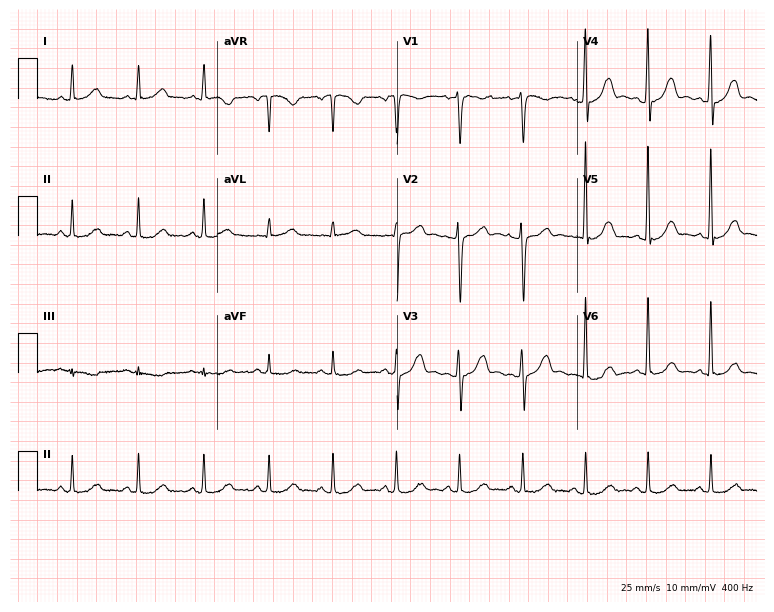
Electrocardiogram (7.3-second recording at 400 Hz), a 61-year-old female. Overall reading on record: normal ECG.